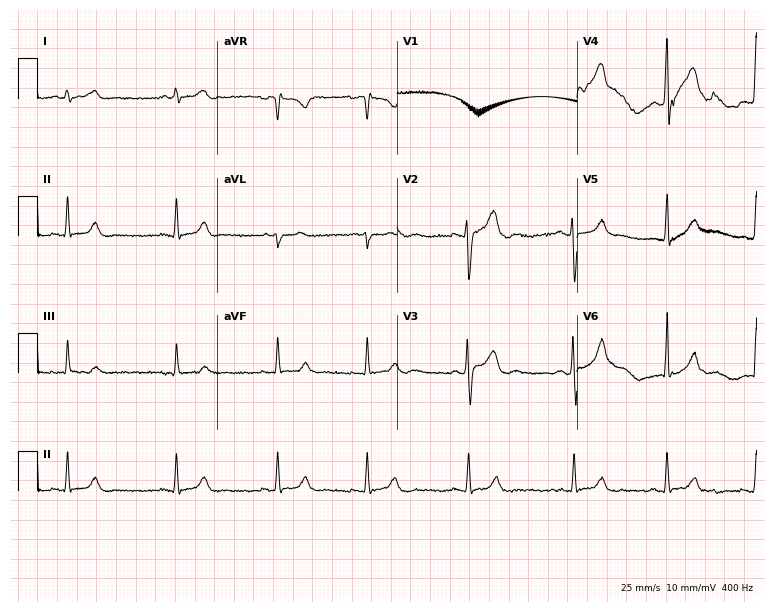
Electrocardiogram, a man, 30 years old. Overall reading on record: normal ECG.